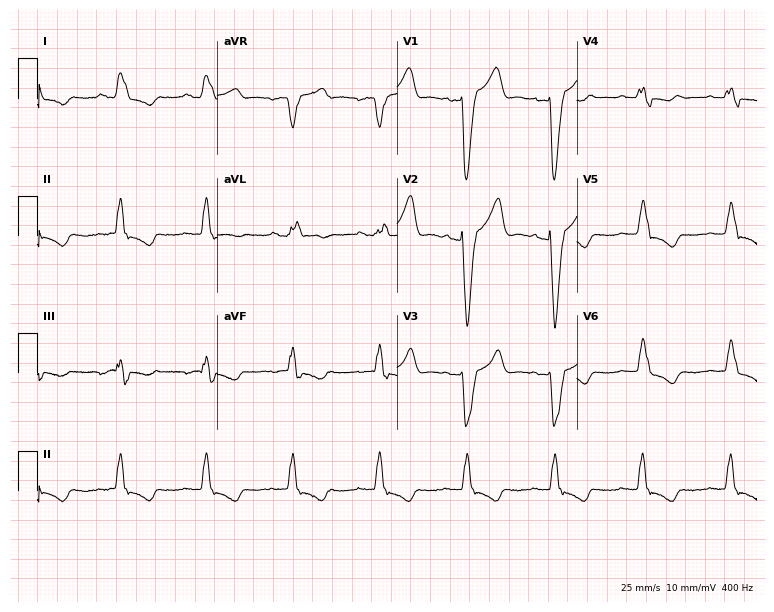
Standard 12-lead ECG recorded from a male, 69 years old. The tracing shows left bundle branch block (LBBB).